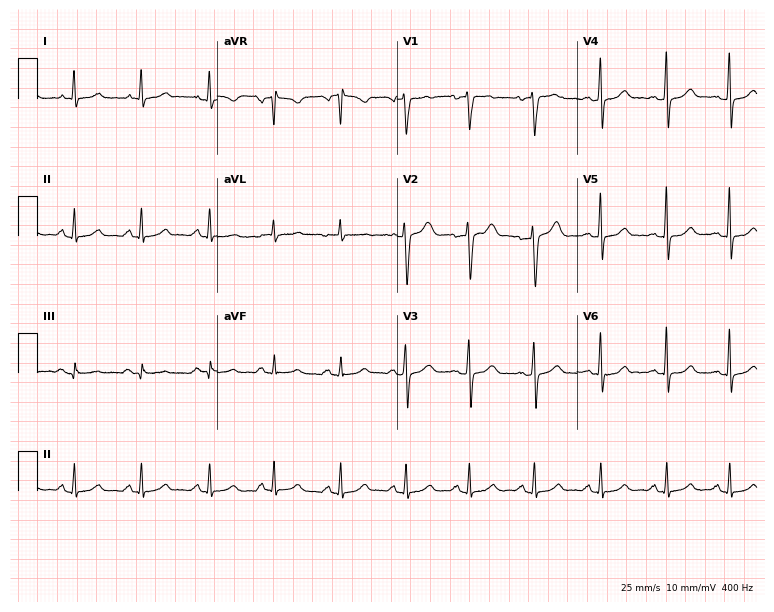
ECG (7.3-second recording at 400 Hz) — a 30-year-old woman. Labelled as a normal ECG.